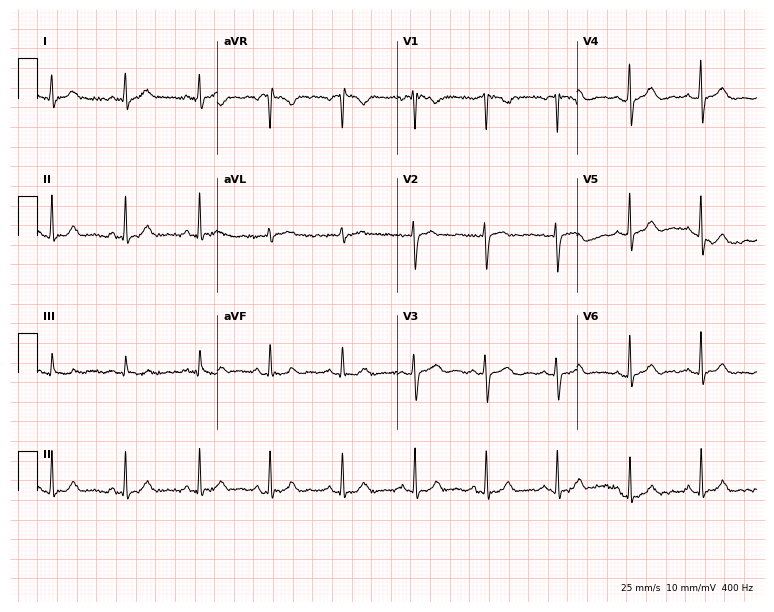
12-lead ECG from a female, 41 years old. Labelled as a normal ECG.